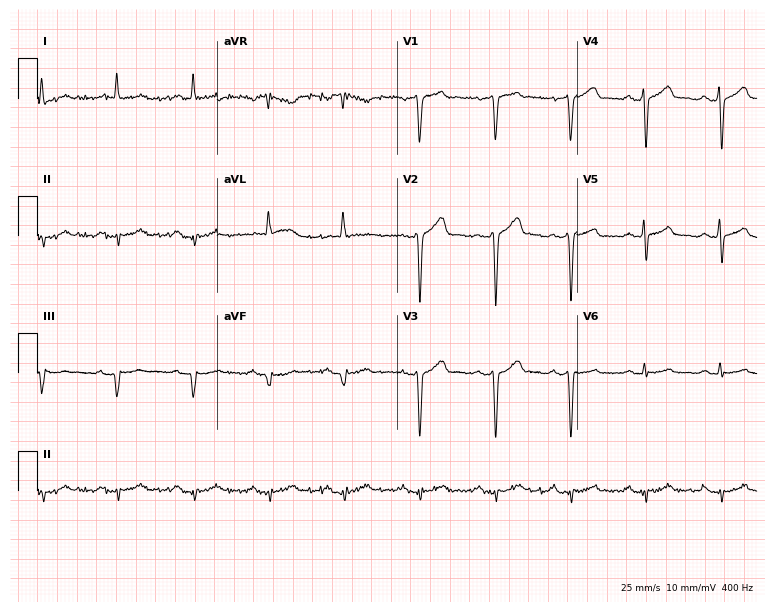
12-lead ECG from a 68-year-old male. No first-degree AV block, right bundle branch block, left bundle branch block, sinus bradycardia, atrial fibrillation or sinus tachycardia recorded for this tracing.